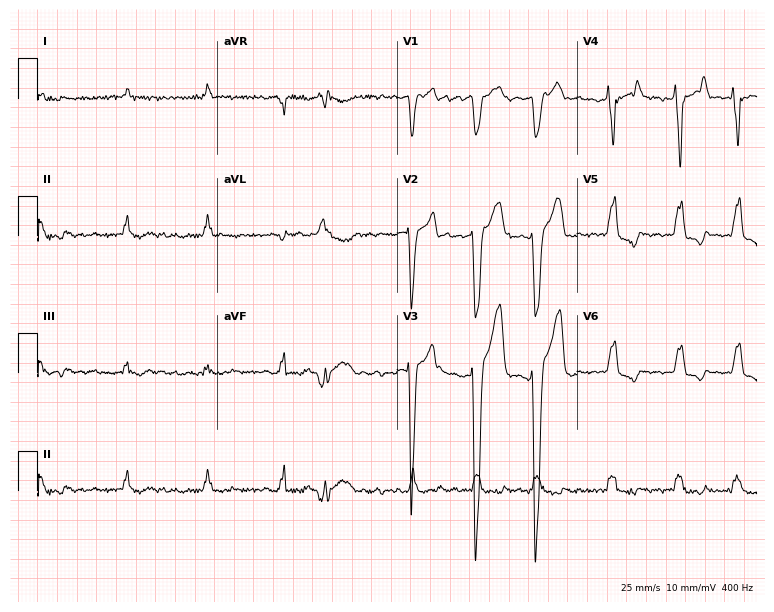
12-lead ECG from a 74-year-old male patient. Findings include atrial fibrillation.